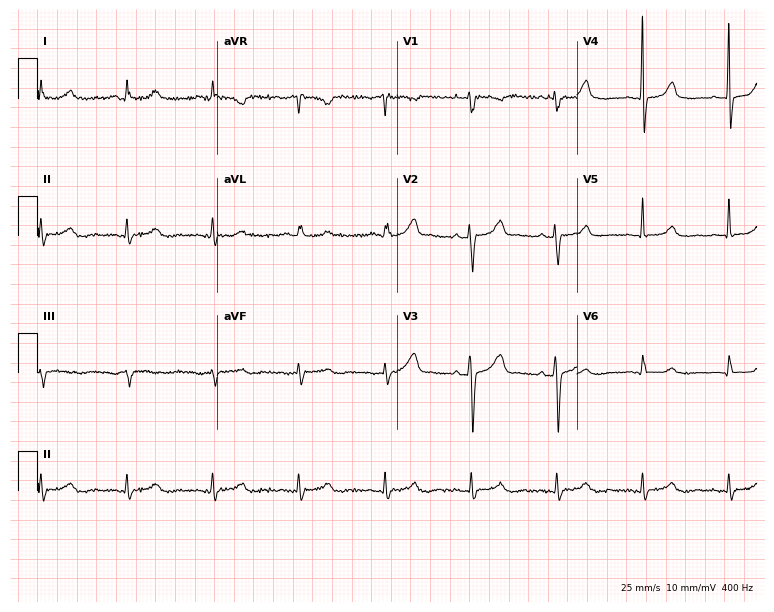
Electrocardiogram, a 65-year-old woman. Of the six screened findings (first-degree AV block, right bundle branch block, left bundle branch block, sinus bradycardia, atrial fibrillation, sinus tachycardia), none is recorded.